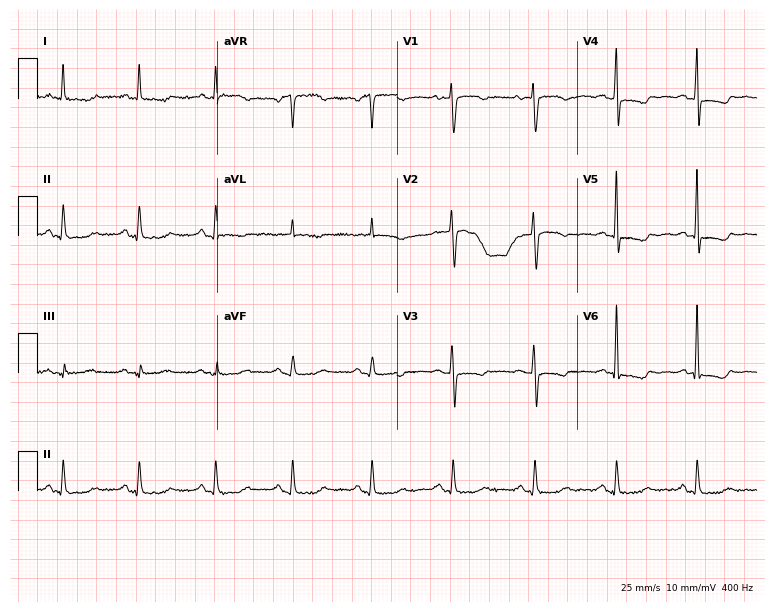
12-lead ECG from a female, 48 years old. No first-degree AV block, right bundle branch block, left bundle branch block, sinus bradycardia, atrial fibrillation or sinus tachycardia recorded for this tracing. Other findings, if any, are not listed.